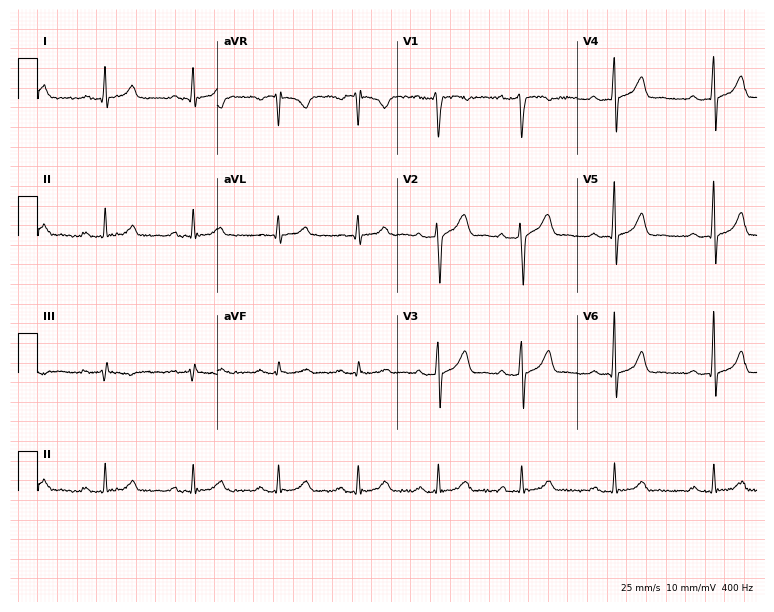
Resting 12-lead electrocardiogram. Patient: a 43-year-old male. Read as a normal ECG.